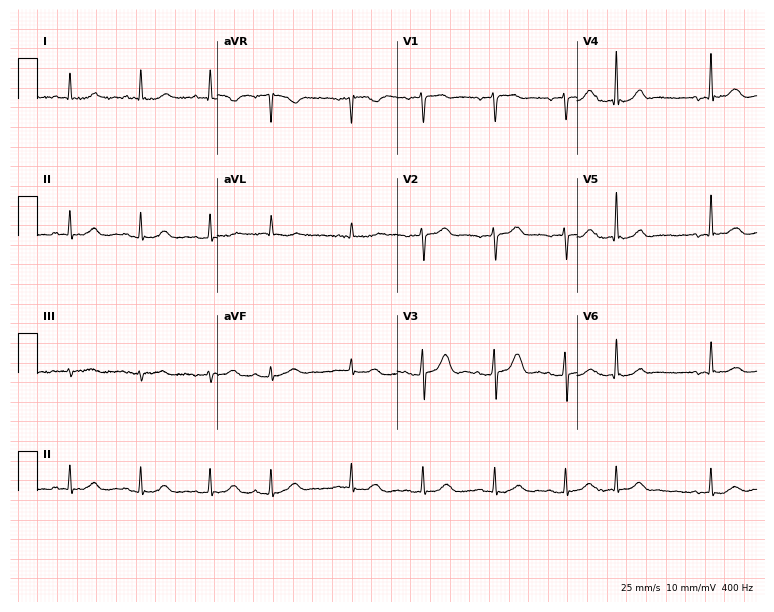
Resting 12-lead electrocardiogram. Patient: a female, 83 years old. Read as a normal ECG.